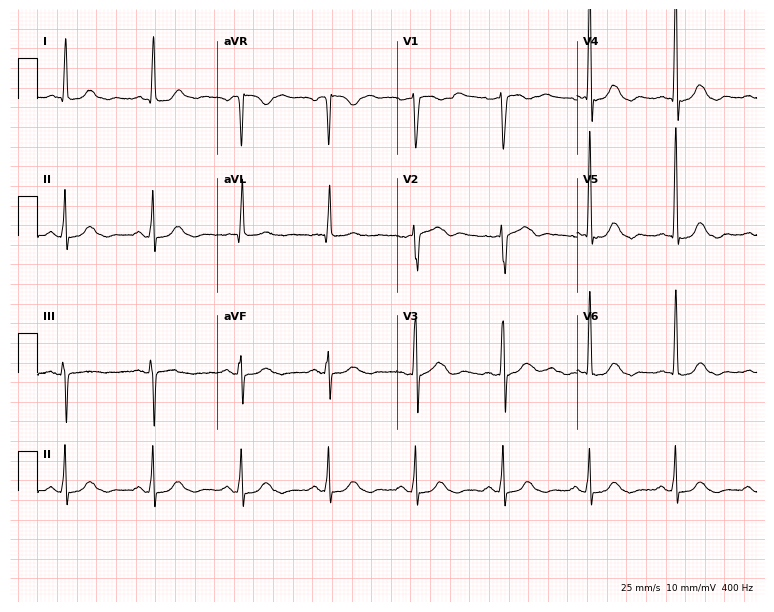
12-lead ECG (7.3-second recording at 400 Hz) from a 57-year-old male patient. Labelled as a normal ECG.